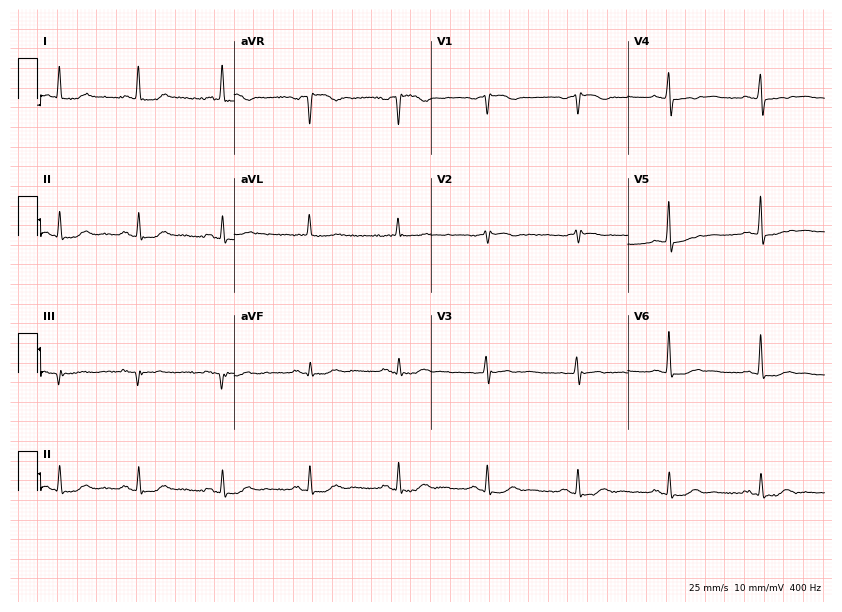
Electrocardiogram, a 73-year-old woman. Of the six screened findings (first-degree AV block, right bundle branch block (RBBB), left bundle branch block (LBBB), sinus bradycardia, atrial fibrillation (AF), sinus tachycardia), none is recorded.